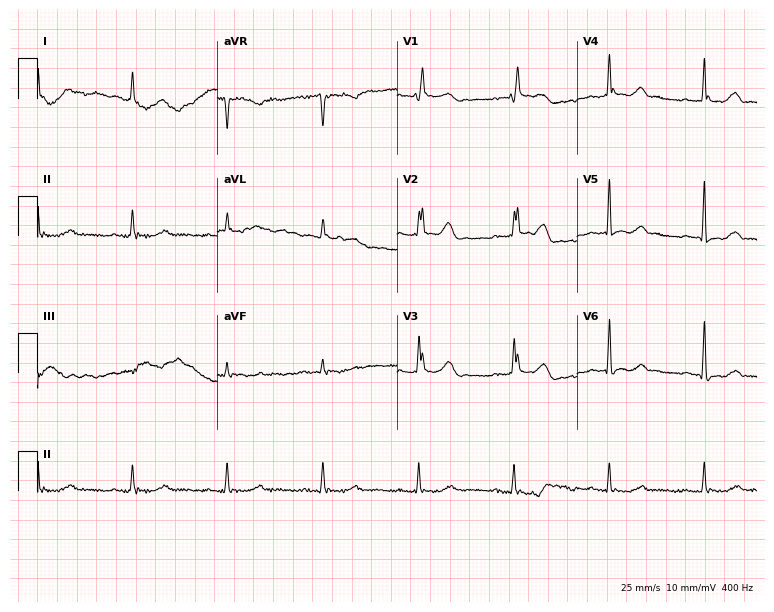
ECG — a 78-year-old woman. Screened for six findings — first-degree AV block, right bundle branch block (RBBB), left bundle branch block (LBBB), sinus bradycardia, atrial fibrillation (AF), sinus tachycardia — none is recorded. Only these six findings were labelled.